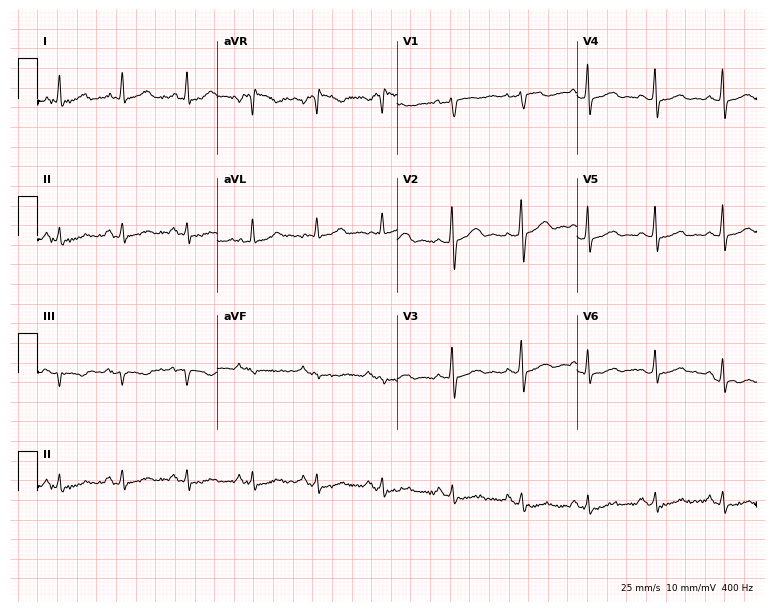
ECG (7.3-second recording at 400 Hz) — a female patient, 45 years old. Screened for six findings — first-degree AV block, right bundle branch block (RBBB), left bundle branch block (LBBB), sinus bradycardia, atrial fibrillation (AF), sinus tachycardia — none is recorded. Other findings, if any, are not listed.